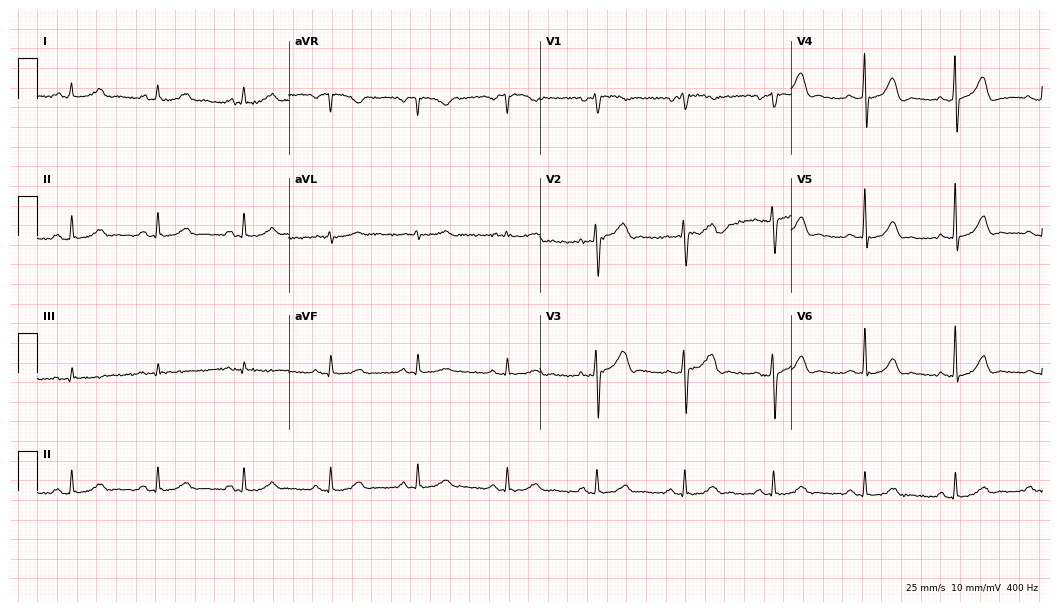
12-lead ECG from a male patient, 83 years old (10.2-second recording at 400 Hz). Recorded interpretation: within normal limits.